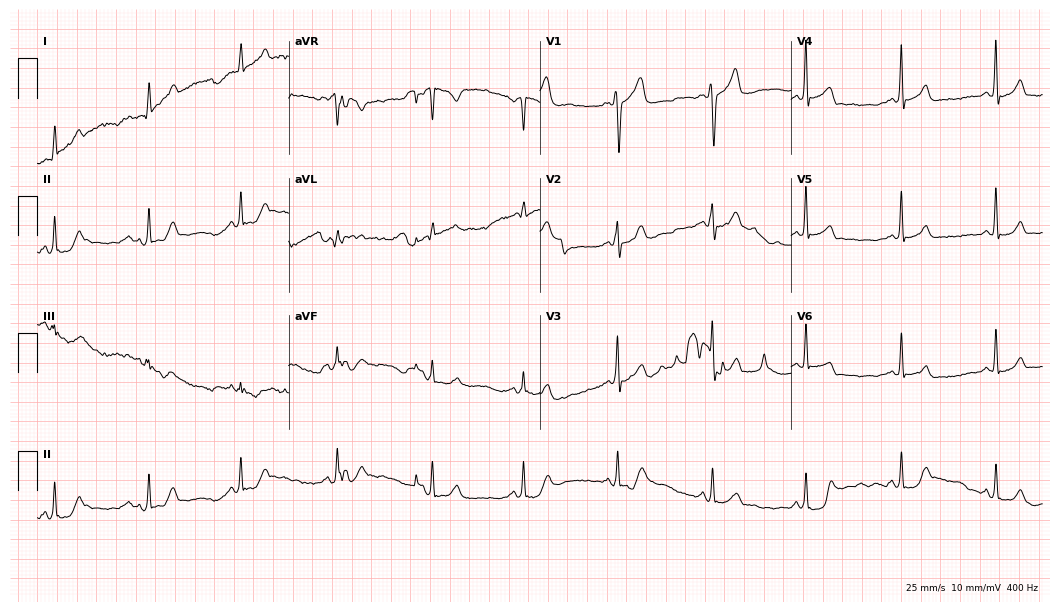
Standard 12-lead ECG recorded from a male, 41 years old. Read as a normal ECG.